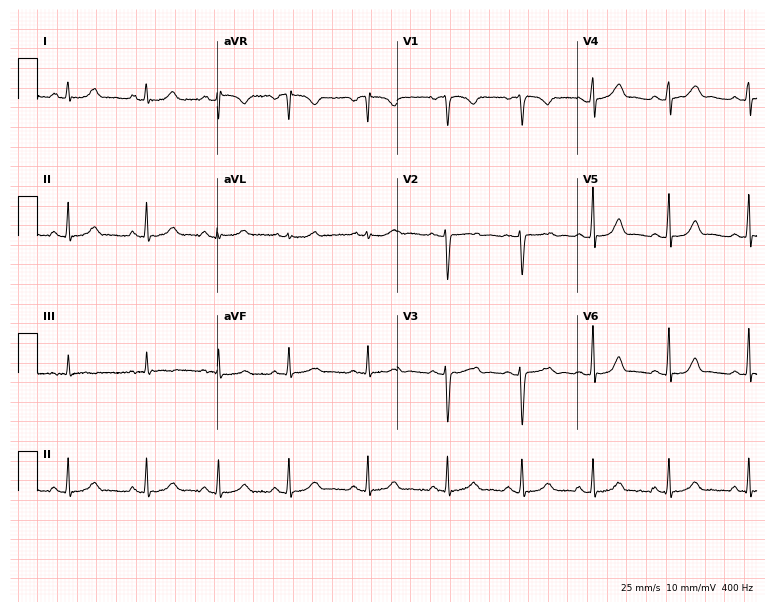
ECG — a female, 20 years old. Labelled as a normal ECG.